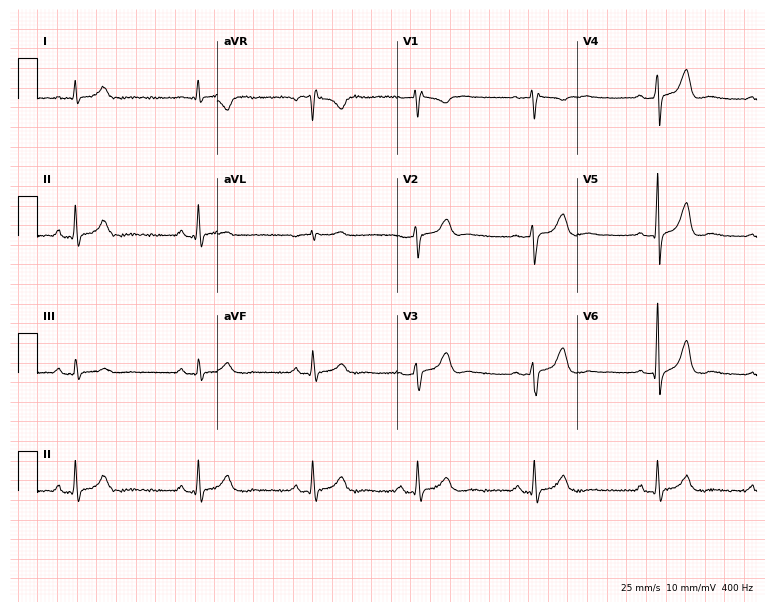
Resting 12-lead electrocardiogram (7.3-second recording at 400 Hz). Patient: a man, 37 years old. None of these six findings is recorded: first-degree AV block, right bundle branch block (RBBB), left bundle branch block (LBBB), sinus bradycardia, atrial fibrillation (AF), sinus tachycardia.